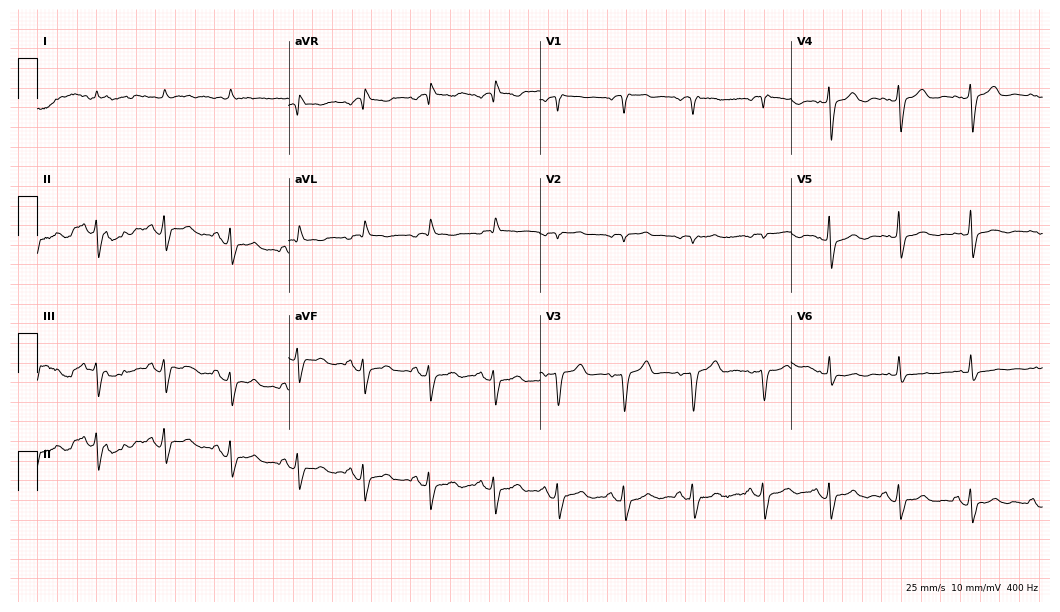
Electrocardiogram (10.2-second recording at 400 Hz), a 75-year-old man. Of the six screened findings (first-degree AV block, right bundle branch block (RBBB), left bundle branch block (LBBB), sinus bradycardia, atrial fibrillation (AF), sinus tachycardia), none is recorded. Other findings, if any, are not listed.